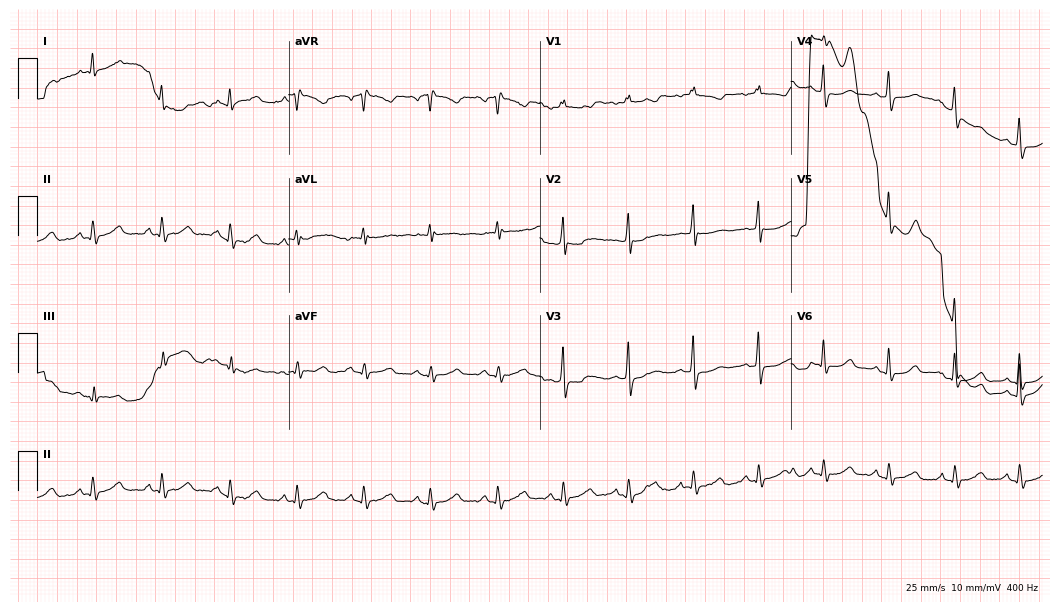
ECG — a 77-year-old female. Labelled as a normal ECG.